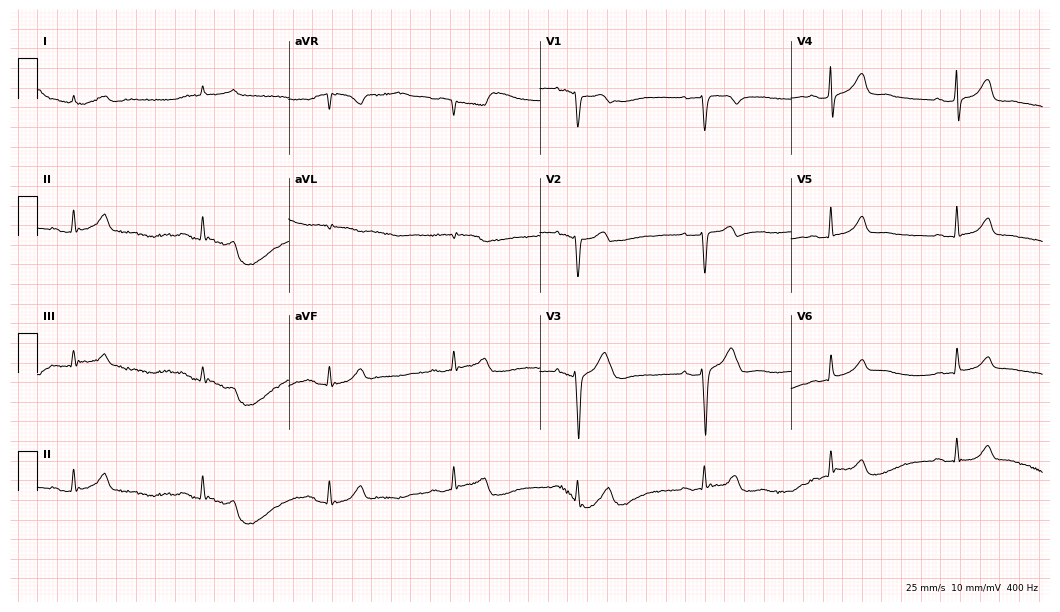
12-lead ECG (10.2-second recording at 400 Hz) from a man, 71 years old. Screened for six findings — first-degree AV block, right bundle branch block, left bundle branch block, sinus bradycardia, atrial fibrillation, sinus tachycardia — none is recorded. Only these six findings were labelled.